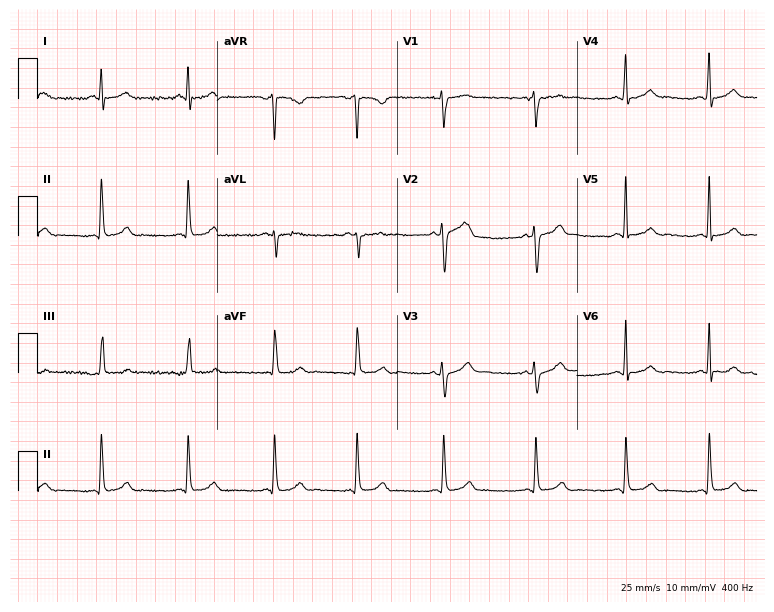
Resting 12-lead electrocardiogram (7.3-second recording at 400 Hz). Patient: a male, 34 years old. Read as a normal ECG.